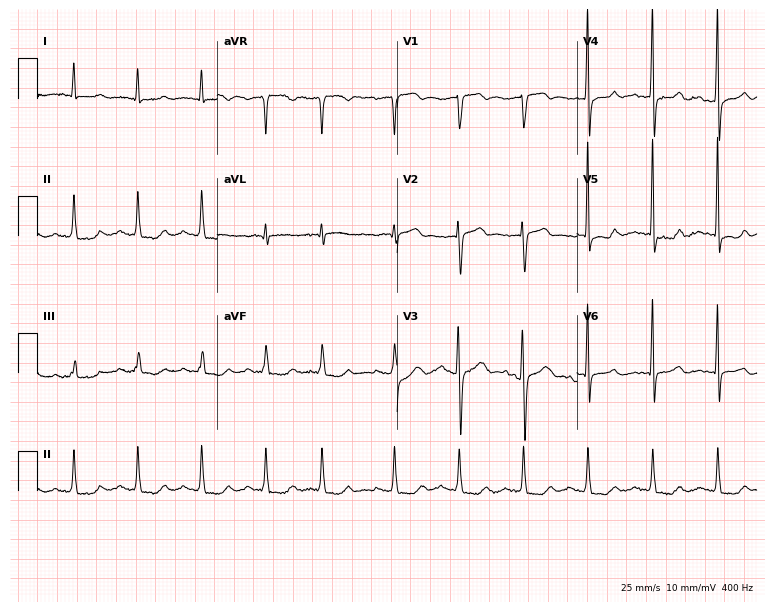
12-lead ECG from a 77-year-old male patient (7.3-second recording at 400 Hz). No first-degree AV block, right bundle branch block, left bundle branch block, sinus bradycardia, atrial fibrillation or sinus tachycardia recorded for this tracing. Only these six findings were labelled.